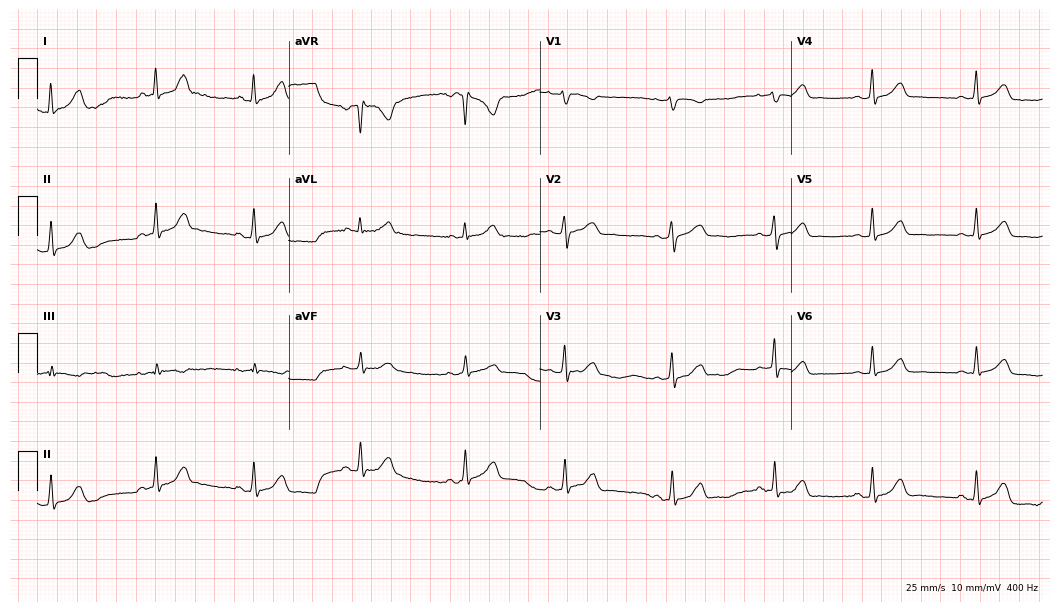
Standard 12-lead ECG recorded from a 20-year-old female. Read as a normal ECG.